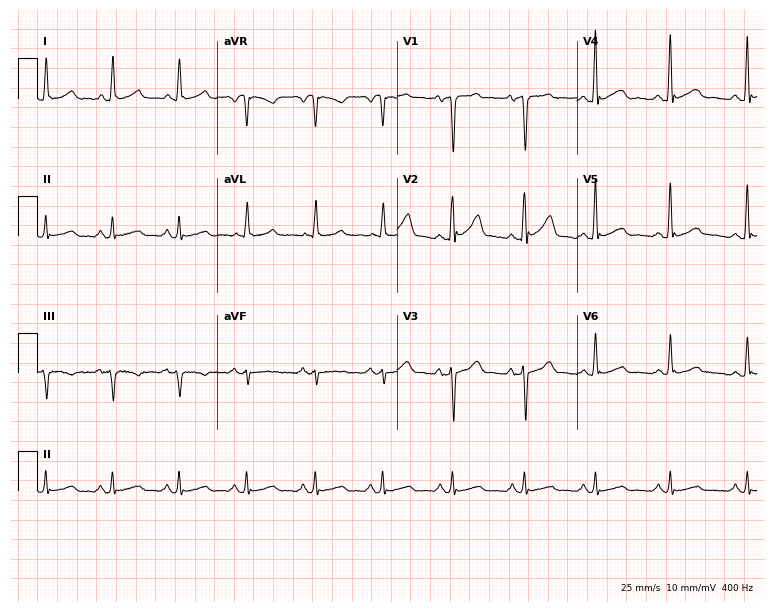
12-lead ECG from a man, 58 years old. Recorded interpretation: within normal limits.